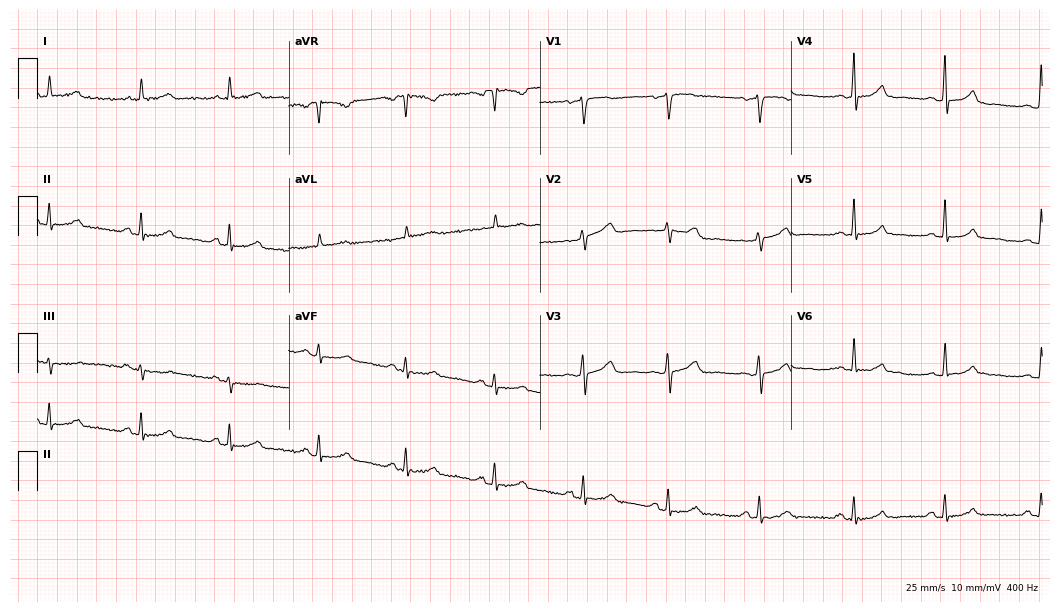
Electrocardiogram, a 53-year-old woman. Overall reading on record: normal ECG.